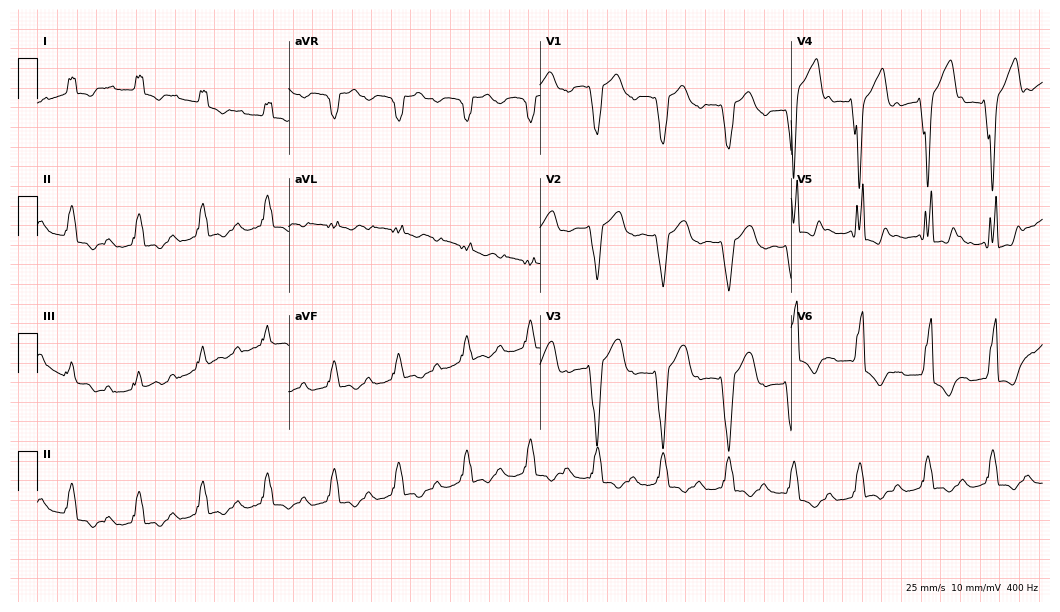
Electrocardiogram (10.2-second recording at 400 Hz), a male patient, 70 years old. Of the six screened findings (first-degree AV block, right bundle branch block, left bundle branch block, sinus bradycardia, atrial fibrillation, sinus tachycardia), none is recorded.